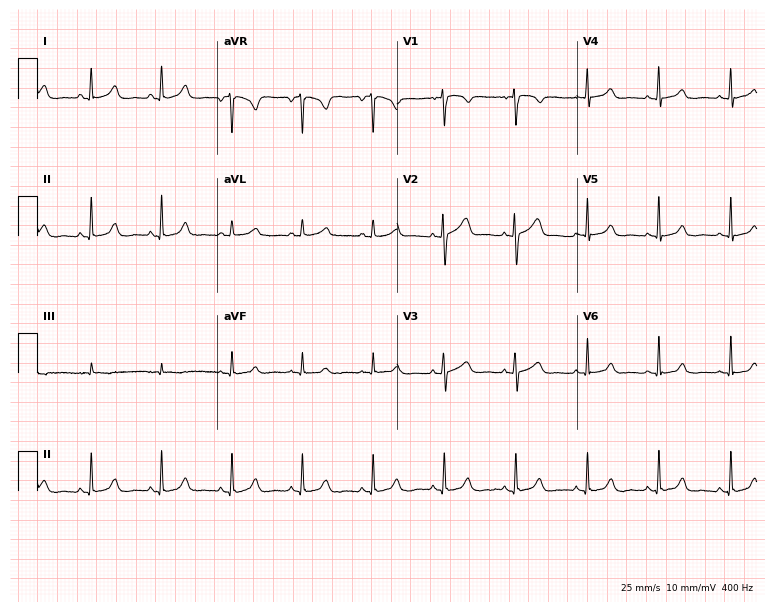
Resting 12-lead electrocardiogram (7.3-second recording at 400 Hz). Patient: a woman, 60 years old. Read as a normal ECG.